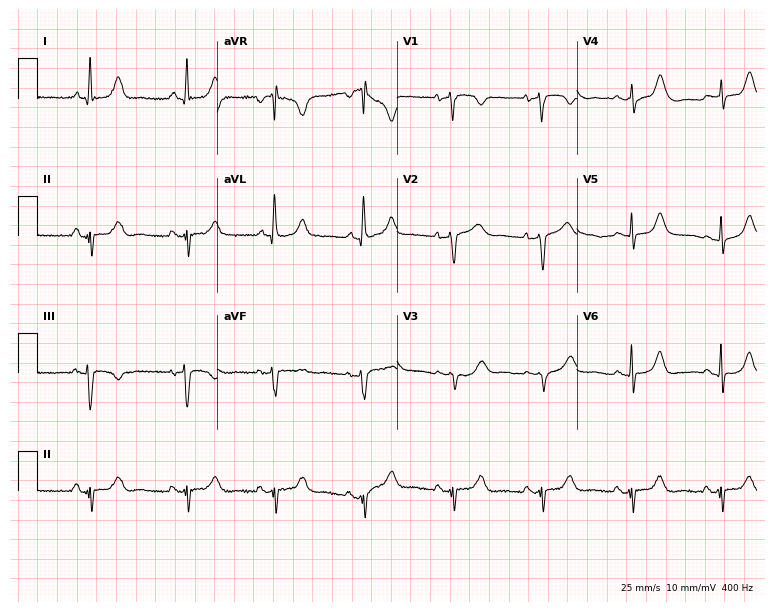
Resting 12-lead electrocardiogram. Patient: a 66-year-old female. None of these six findings is recorded: first-degree AV block, right bundle branch block (RBBB), left bundle branch block (LBBB), sinus bradycardia, atrial fibrillation (AF), sinus tachycardia. Findings outside these six are not listed.